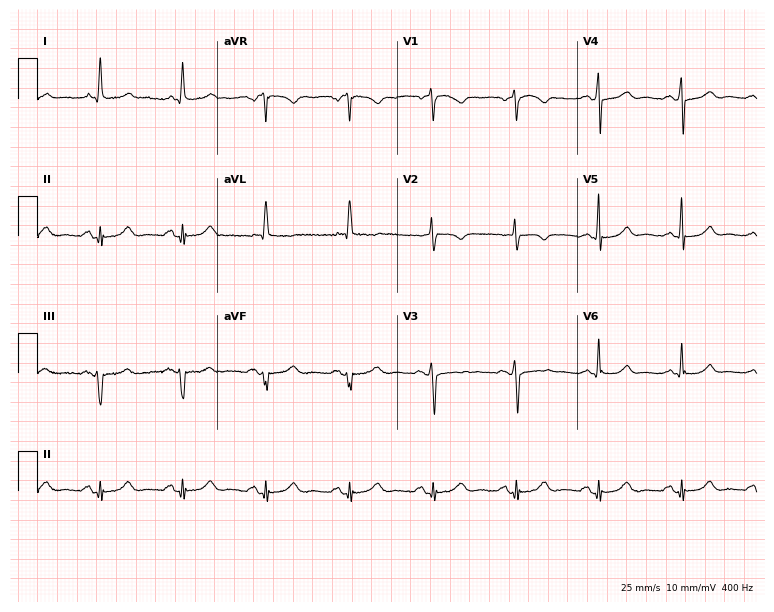
Standard 12-lead ECG recorded from a 67-year-old female. Read as a normal ECG.